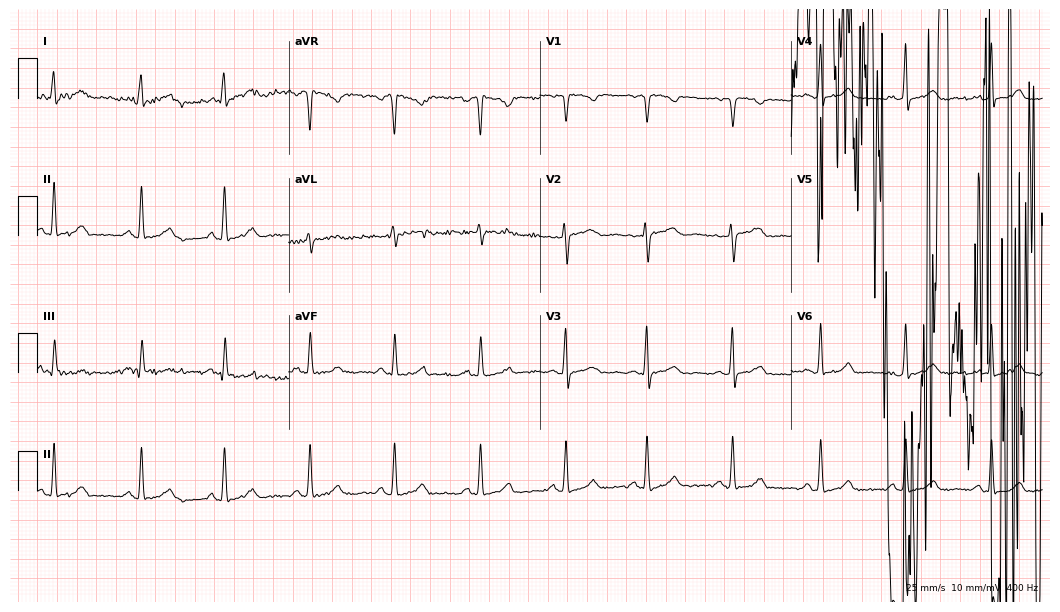
12-lead ECG (10.2-second recording at 400 Hz) from a female, 32 years old. Screened for six findings — first-degree AV block, right bundle branch block, left bundle branch block, sinus bradycardia, atrial fibrillation, sinus tachycardia — none is recorded. Only these six findings were labelled.